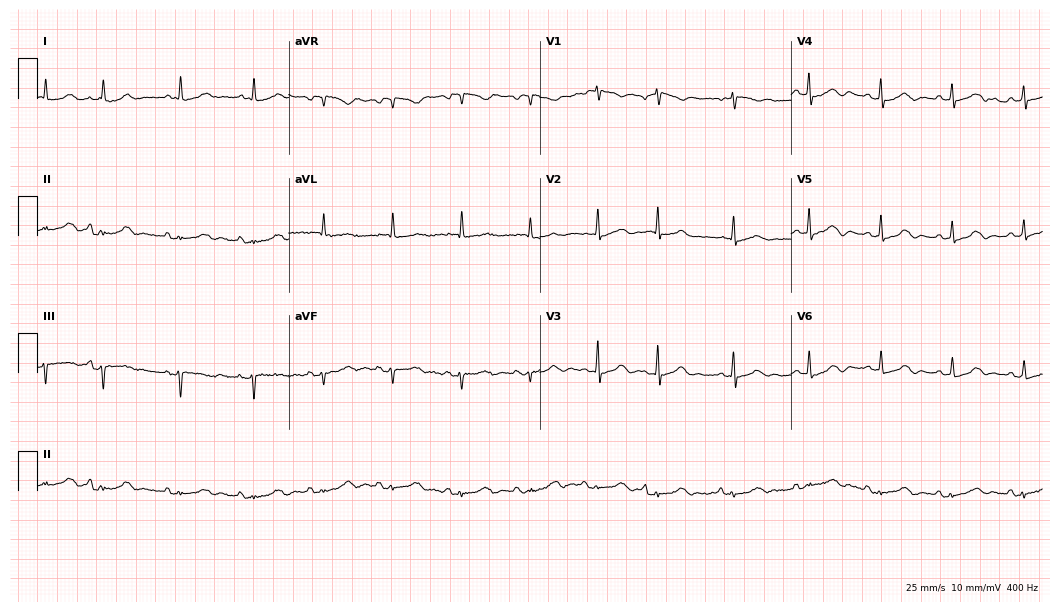
Electrocardiogram, a 76-year-old female. Of the six screened findings (first-degree AV block, right bundle branch block (RBBB), left bundle branch block (LBBB), sinus bradycardia, atrial fibrillation (AF), sinus tachycardia), none is recorded. Findings outside these six are not listed.